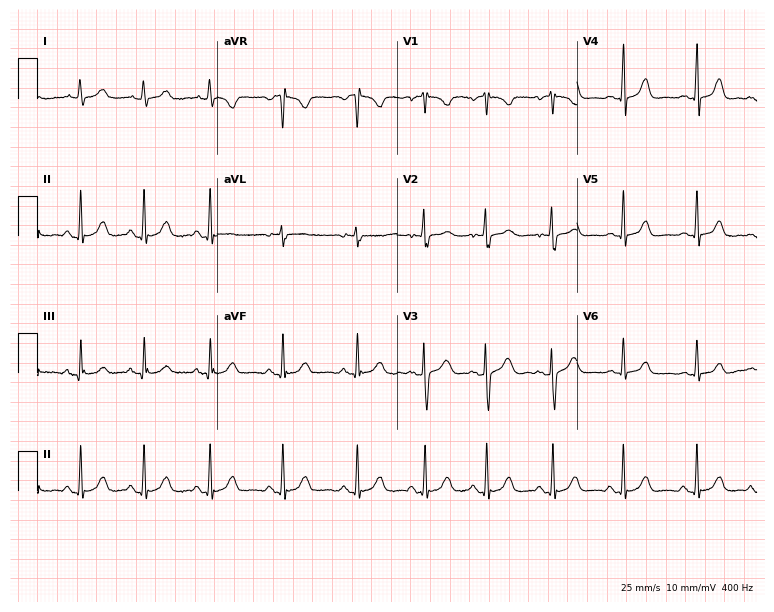
Standard 12-lead ECG recorded from a 22-year-old woman (7.3-second recording at 400 Hz). None of these six findings is recorded: first-degree AV block, right bundle branch block (RBBB), left bundle branch block (LBBB), sinus bradycardia, atrial fibrillation (AF), sinus tachycardia. Only these six findings were labelled.